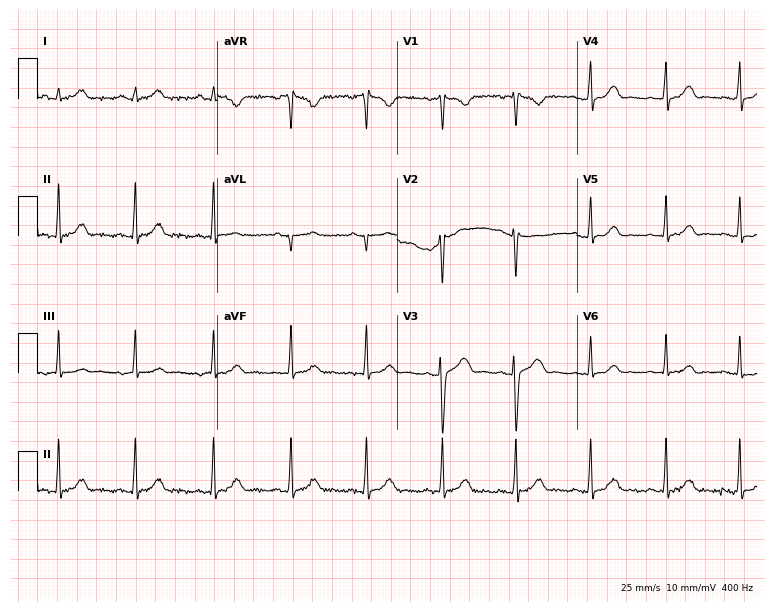
ECG — an 18-year-old female. Screened for six findings — first-degree AV block, right bundle branch block (RBBB), left bundle branch block (LBBB), sinus bradycardia, atrial fibrillation (AF), sinus tachycardia — none is recorded.